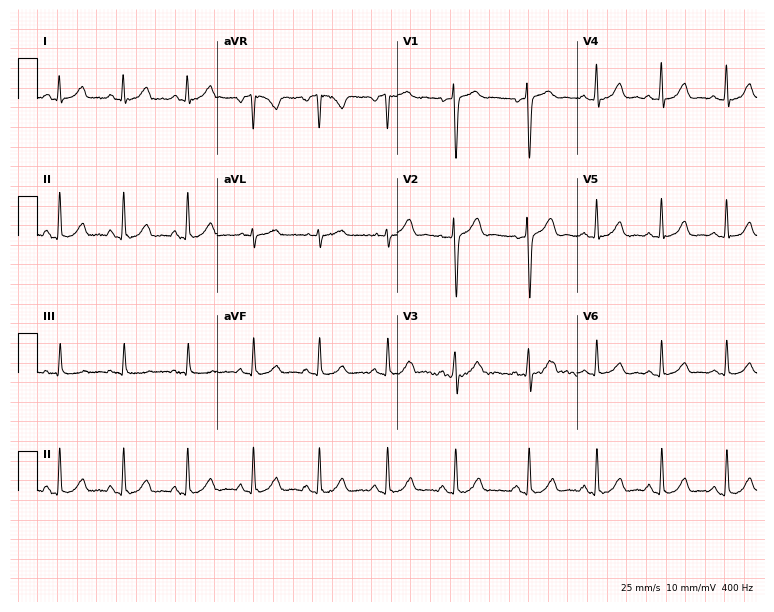
Electrocardiogram, a 35-year-old woman. Overall reading on record: normal ECG.